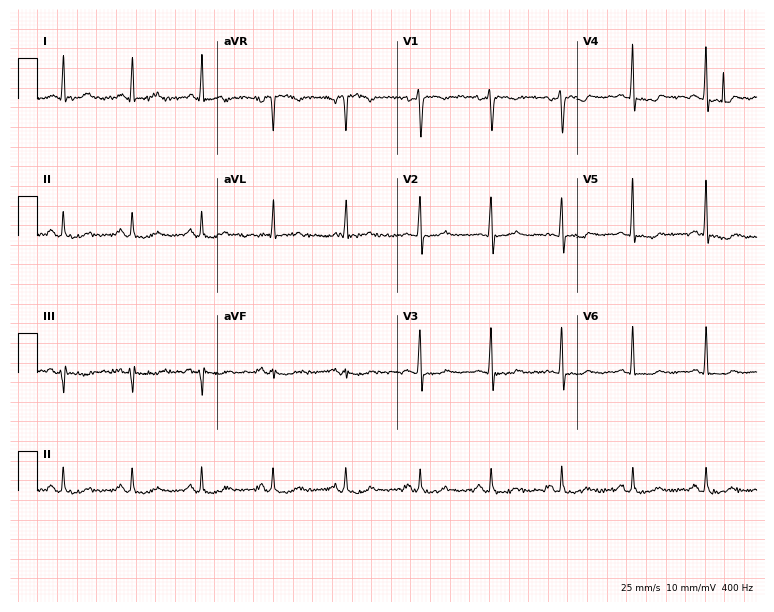
ECG (7.3-second recording at 400 Hz) — a female patient, 52 years old. Screened for six findings — first-degree AV block, right bundle branch block, left bundle branch block, sinus bradycardia, atrial fibrillation, sinus tachycardia — none is recorded. Only these six findings were labelled.